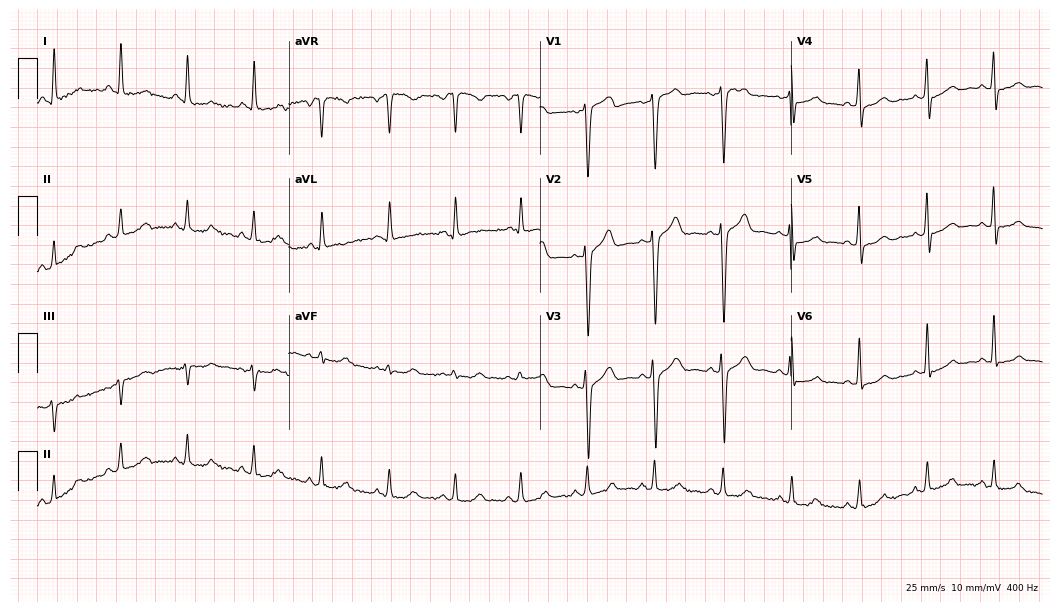
12-lead ECG from a 39-year-old man (10.2-second recording at 400 Hz). Recorded interpretation: within normal limits.